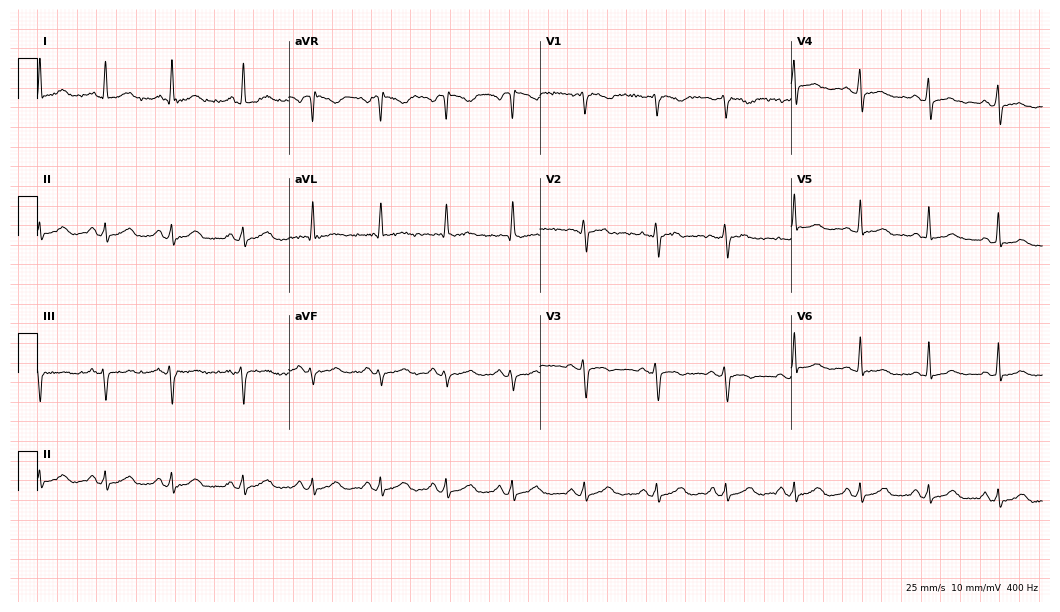
Standard 12-lead ECG recorded from a woman, 36 years old. None of these six findings is recorded: first-degree AV block, right bundle branch block (RBBB), left bundle branch block (LBBB), sinus bradycardia, atrial fibrillation (AF), sinus tachycardia. Only these six findings were labelled.